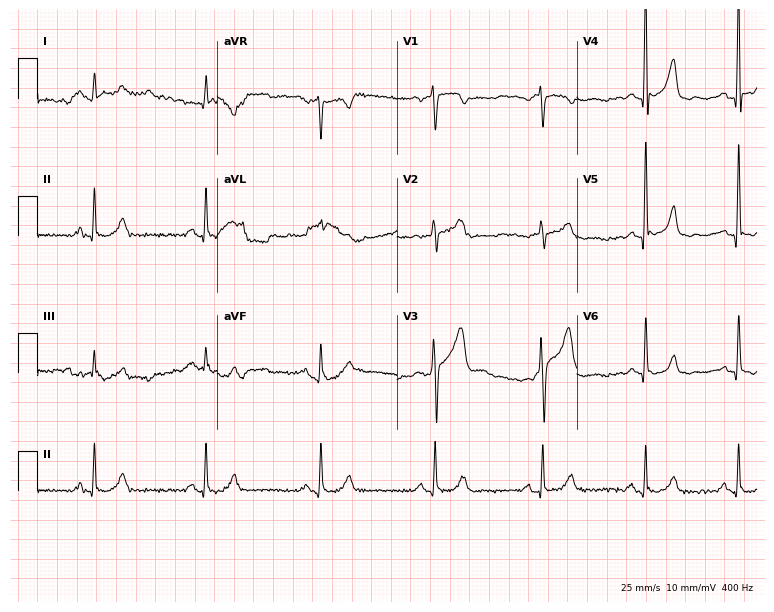
ECG (7.3-second recording at 400 Hz) — a 62-year-old female patient. Labelled as a normal ECG.